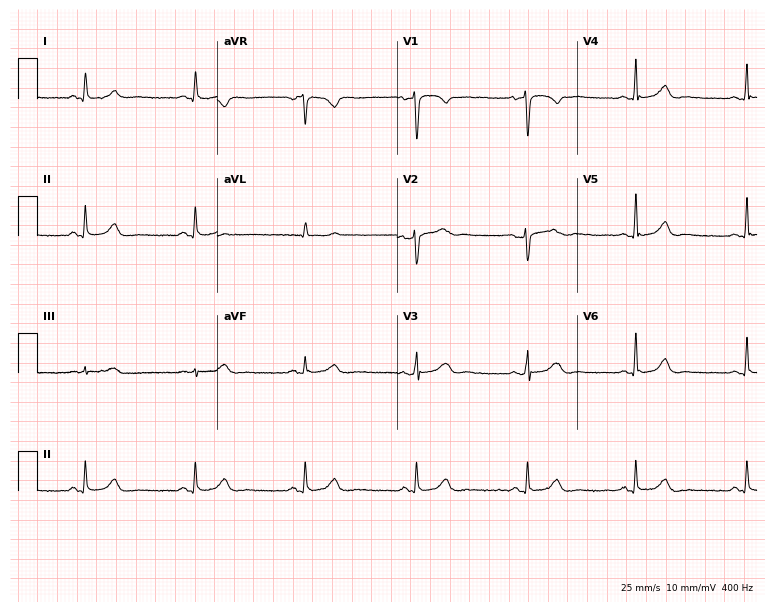
12-lead ECG from a woman, 48 years old. Labelled as a normal ECG.